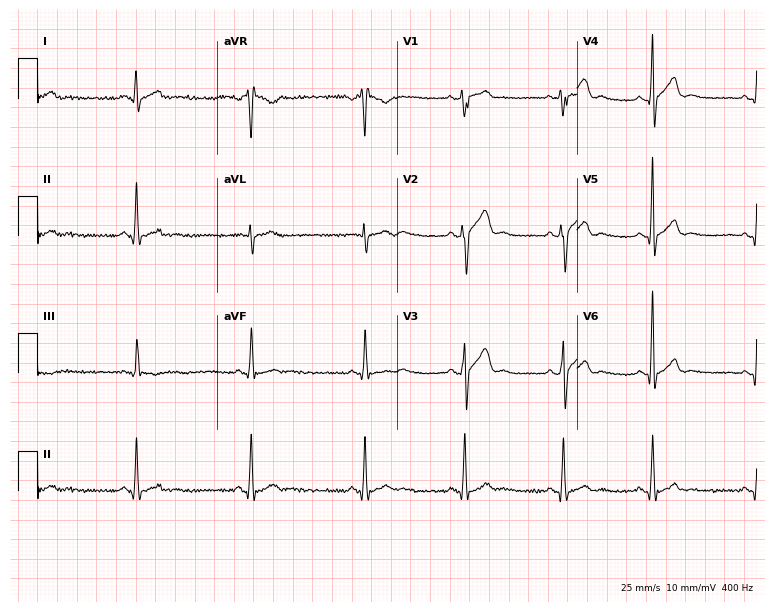
Resting 12-lead electrocardiogram. Patient: a male, 23 years old. Read as a normal ECG.